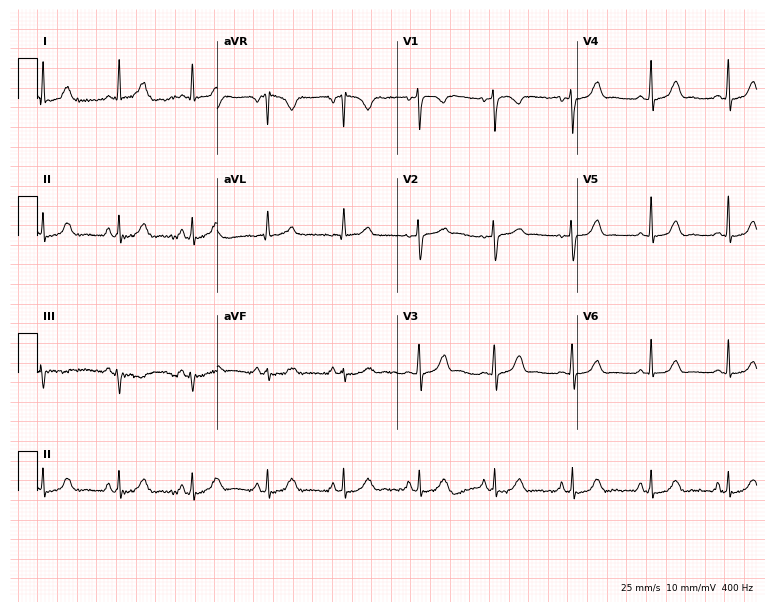
Electrocardiogram, a female, 36 years old. Overall reading on record: normal ECG.